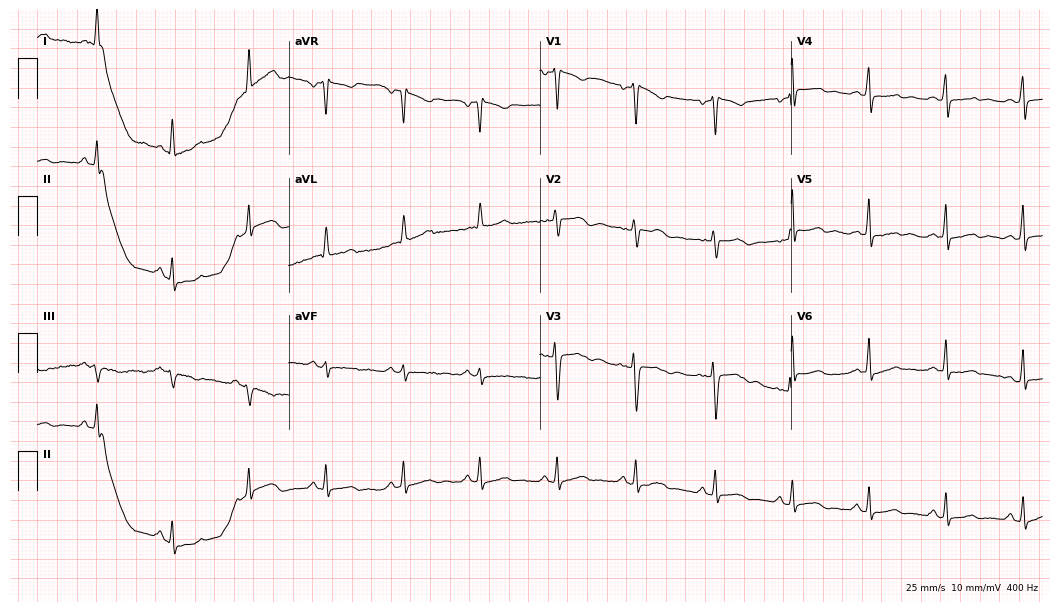
12-lead ECG from a female patient, 47 years old. Screened for six findings — first-degree AV block, right bundle branch block, left bundle branch block, sinus bradycardia, atrial fibrillation, sinus tachycardia — none is recorded. Only these six findings were labelled.